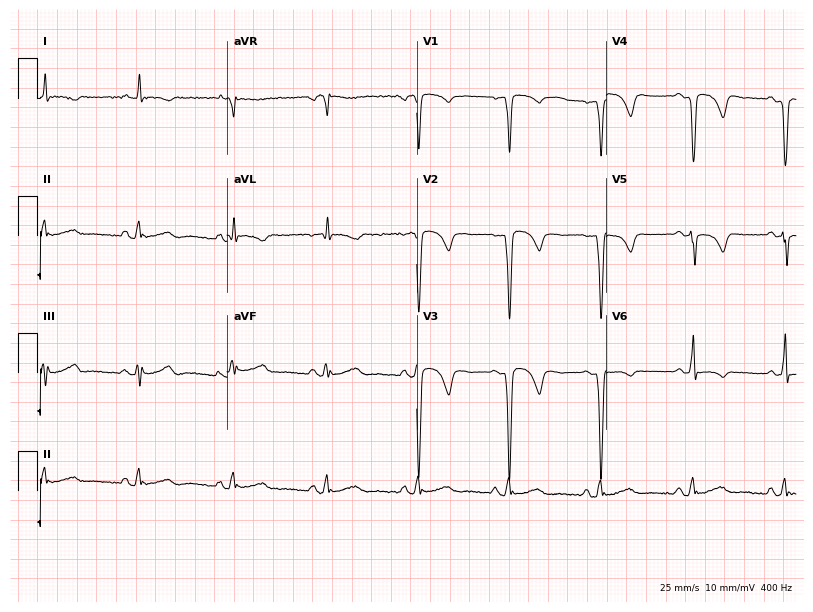
12-lead ECG from a 72-year-old woman (7.7-second recording at 400 Hz). No first-degree AV block, right bundle branch block (RBBB), left bundle branch block (LBBB), sinus bradycardia, atrial fibrillation (AF) or sinus tachycardia recorded for this tracing. Other findings, if any, are not listed.